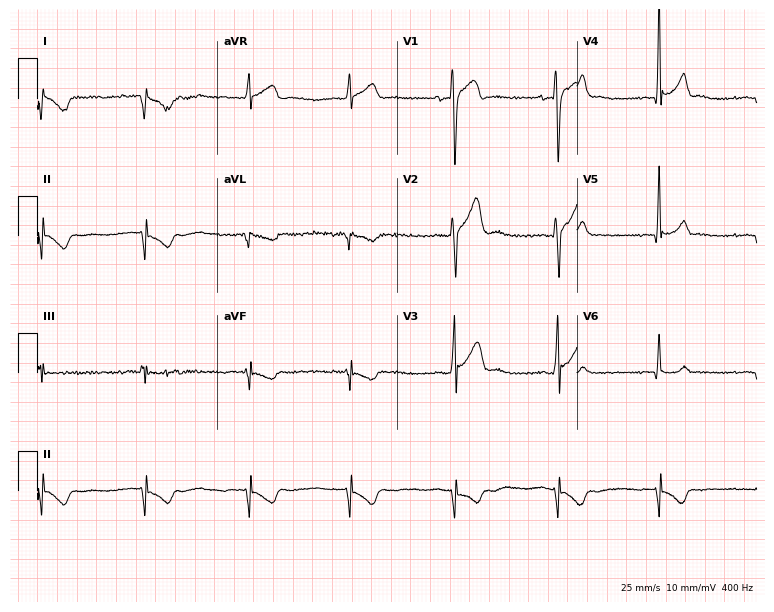
Resting 12-lead electrocardiogram (7.3-second recording at 400 Hz). Patient: a man, 21 years old. None of these six findings is recorded: first-degree AV block, right bundle branch block, left bundle branch block, sinus bradycardia, atrial fibrillation, sinus tachycardia. Other findings, if any, are not listed.